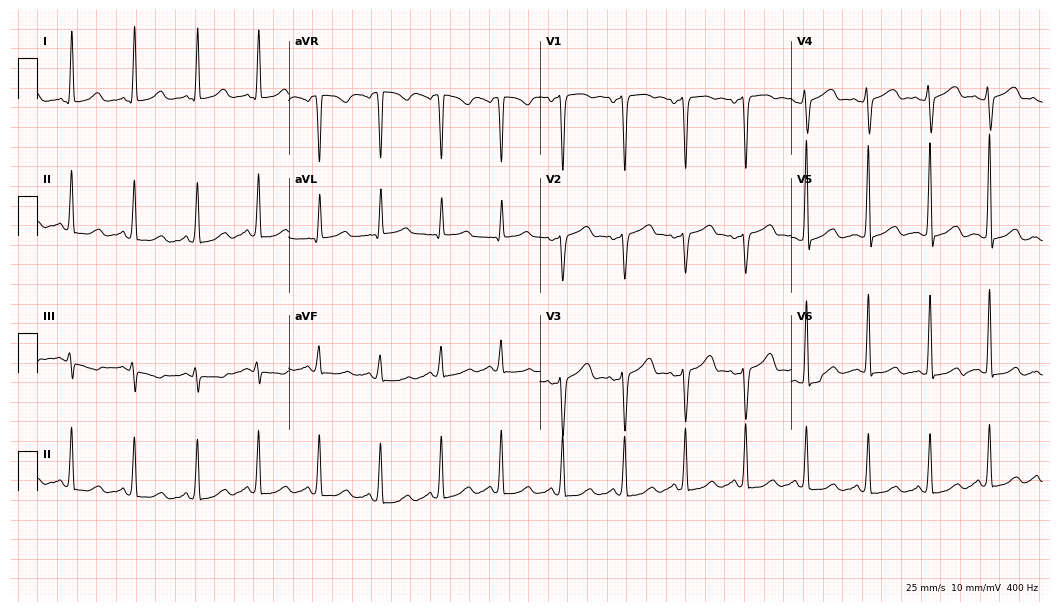
Standard 12-lead ECG recorded from a 39-year-old female (10.2-second recording at 400 Hz). None of these six findings is recorded: first-degree AV block, right bundle branch block, left bundle branch block, sinus bradycardia, atrial fibrillation, sinus tachycardia.